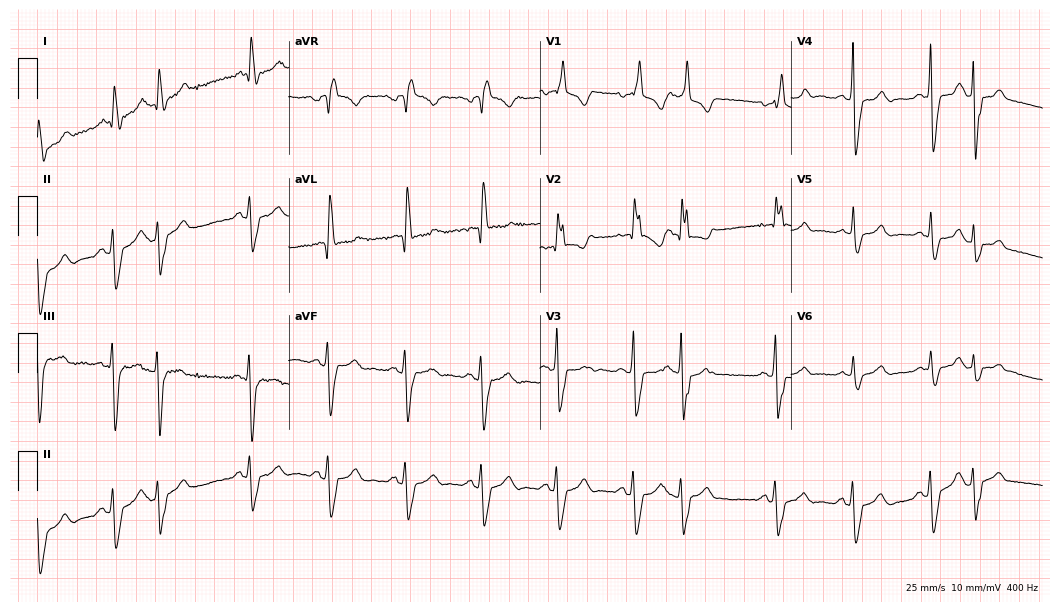
12-lead ECG from a 78-year-old man. Findings include right bundle branch block.